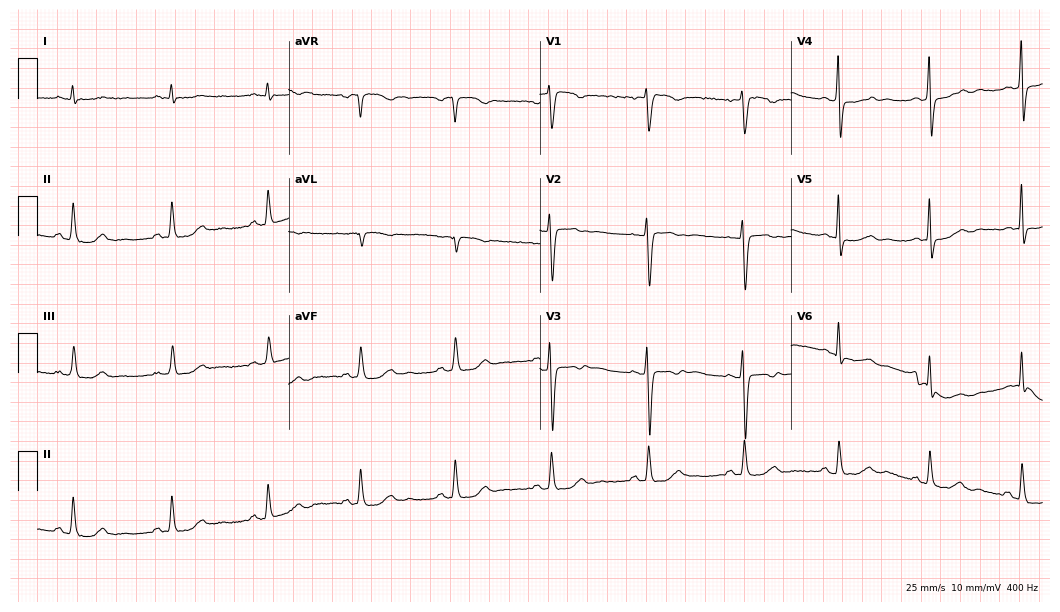
ECG (10.2-second recording at 400 Hz) — a 58-year-old female. Labelled as a normal ECG.